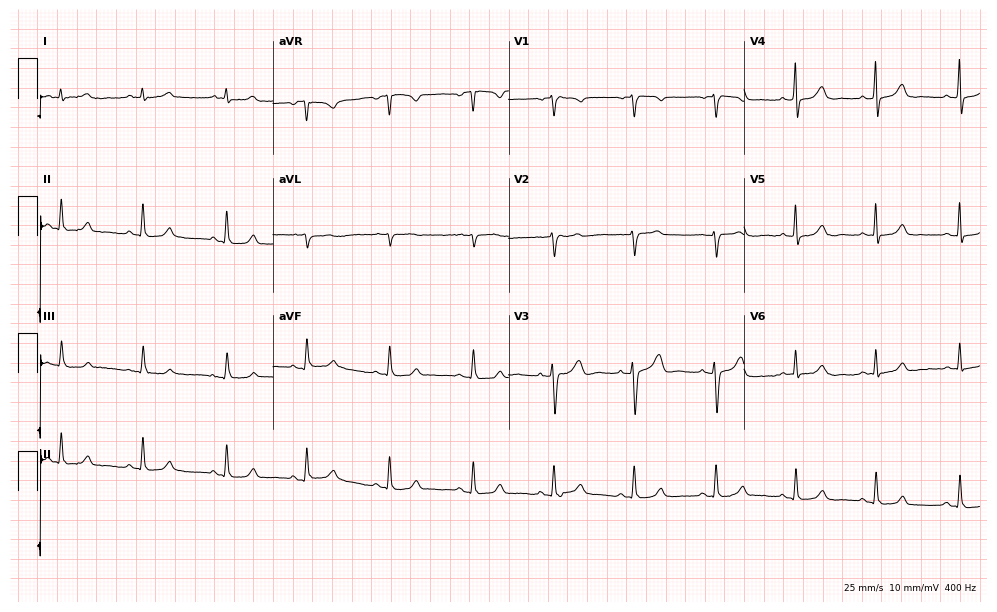
Resting 12-lead electrocardiogram. Patient: a female, 40 years old. Read as a normal ECG.